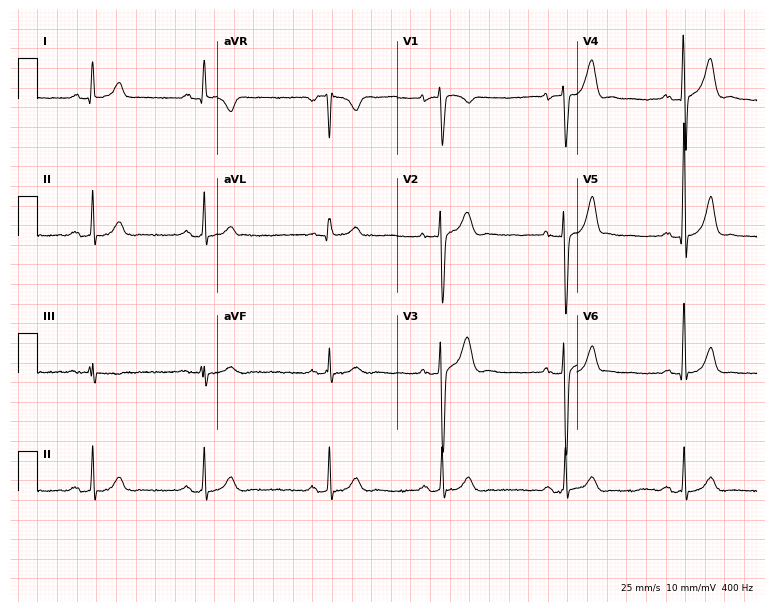
Resting 12-lead electrocardiogram (7.3-second recording at 400 Hz). Patient: a man, 34 years old. Read as a normal ECG.